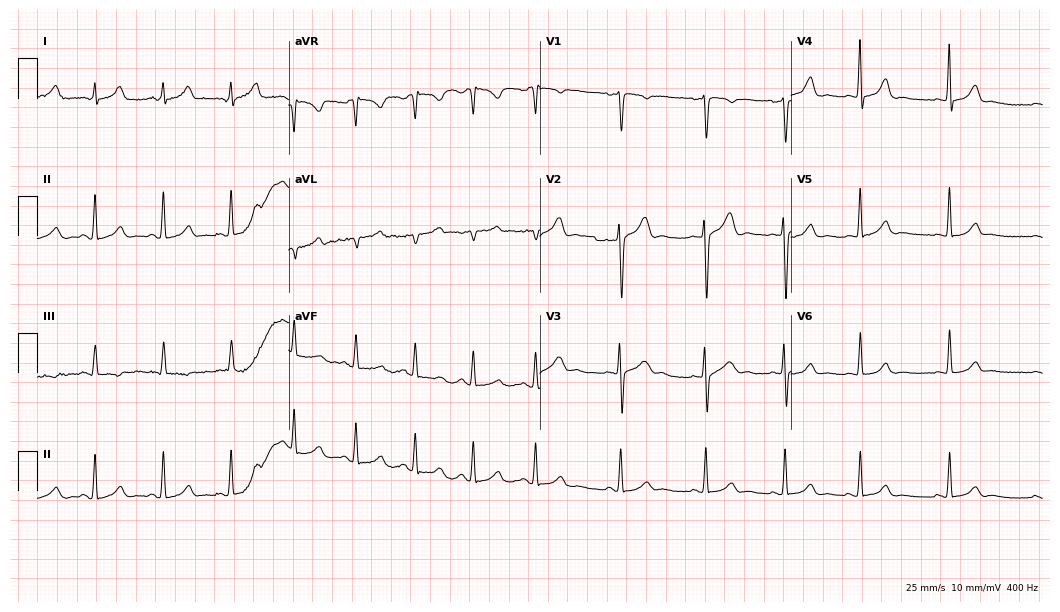
12-lead ECG from a 22-year-old woman. Labelled as a normal ECG.